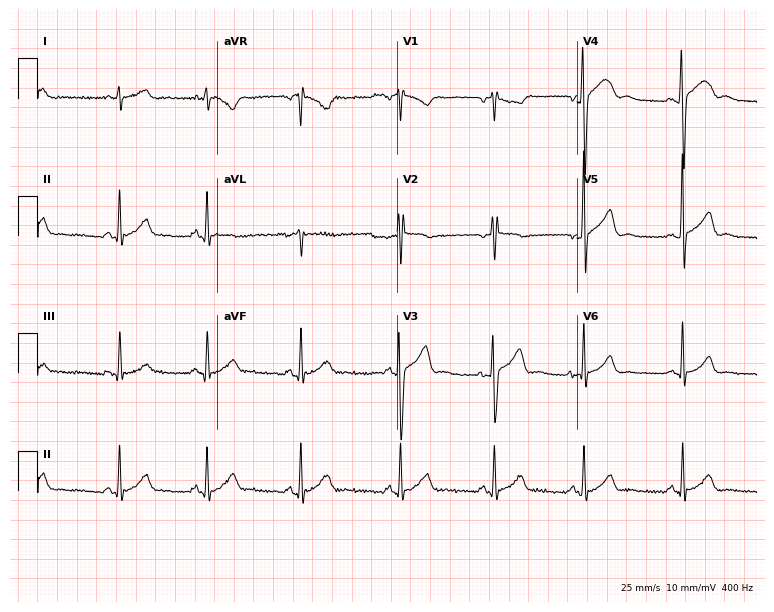
12-lead ECG from a male patient, 22 years old. Labelled as a normal ECG.